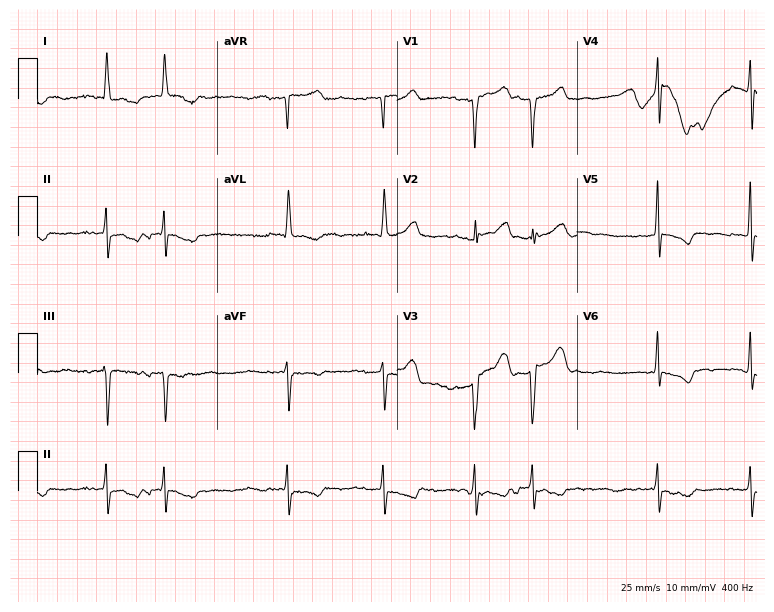
Resting 12-lead electrocardiogram. Patient: a female, 76 years old. None of these six findings is recorded: first-degree AV block, right bundle branch block, left bundle branch block, sinus bradycardia, atrial fibrillation, sinus tachycardia. Other findings, if any, are not listed.